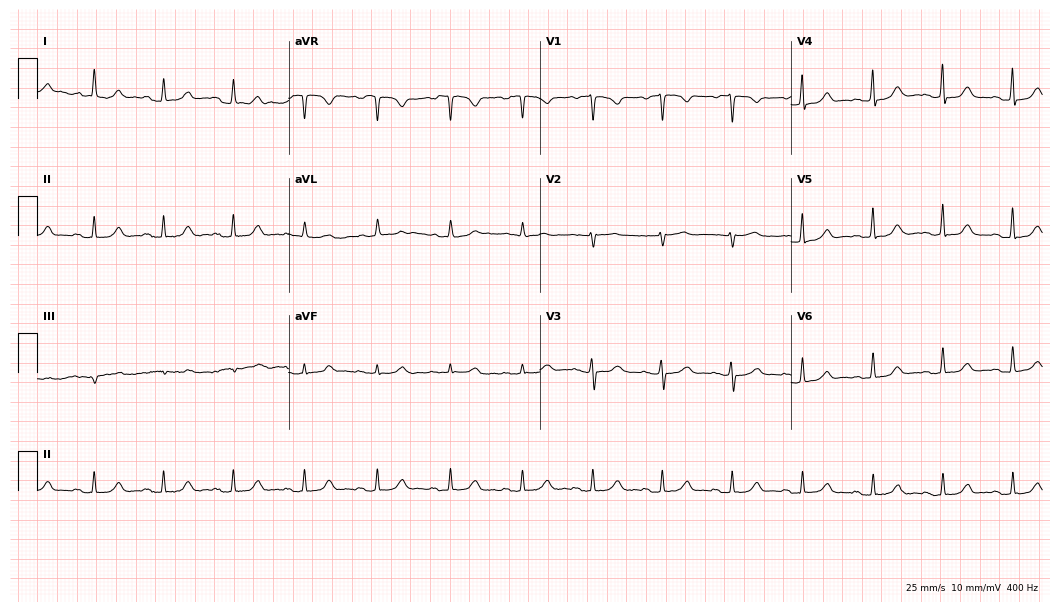
12-lead ECG from a female, 53 years old (10.2-second recording at 400 Hz). Recorded interpretation: within normal limits.